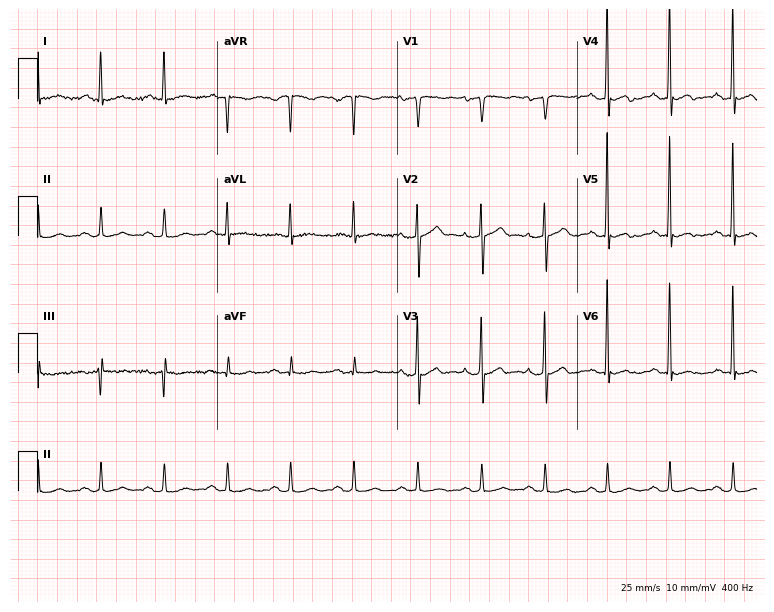
Standard 12-lead ECG recorded from a 70-year-old male (7.3-second recording at 400 Hz). None of these six findings is recorded: first-degree AV block, right bundle branch block, left bundle branch block, sinus bradycardia, atrial fibrillation, sinus tachycardia.